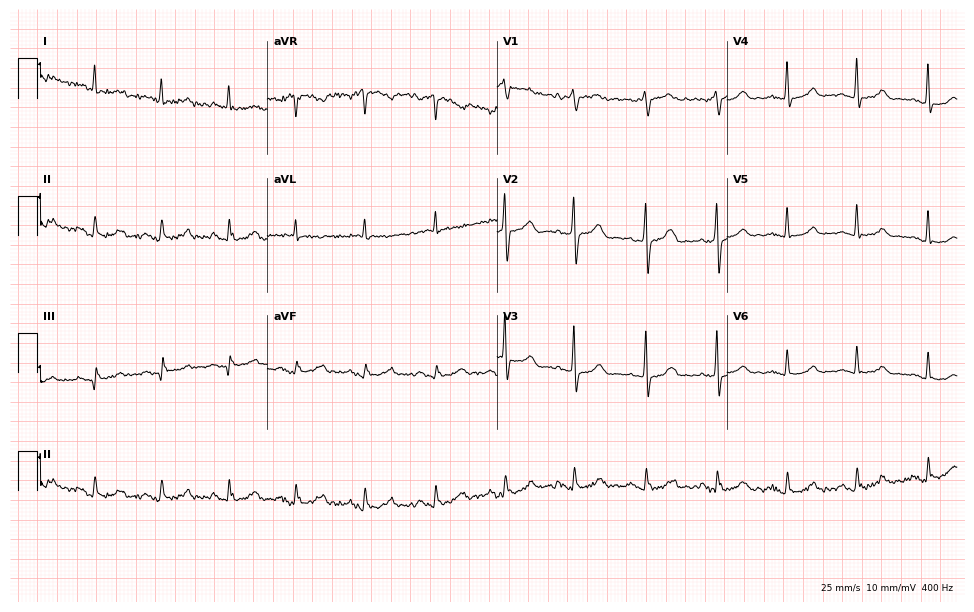
Standard 12-lead ECG recorded from a 57-year-old woman (9.4-second recording at 400 Hz). None of these six findings is recorded: first-degree AV block, right bundle branch block, left bundle branch block, sinus bradycardia, atrial fibrillation, sinus tachycardia.